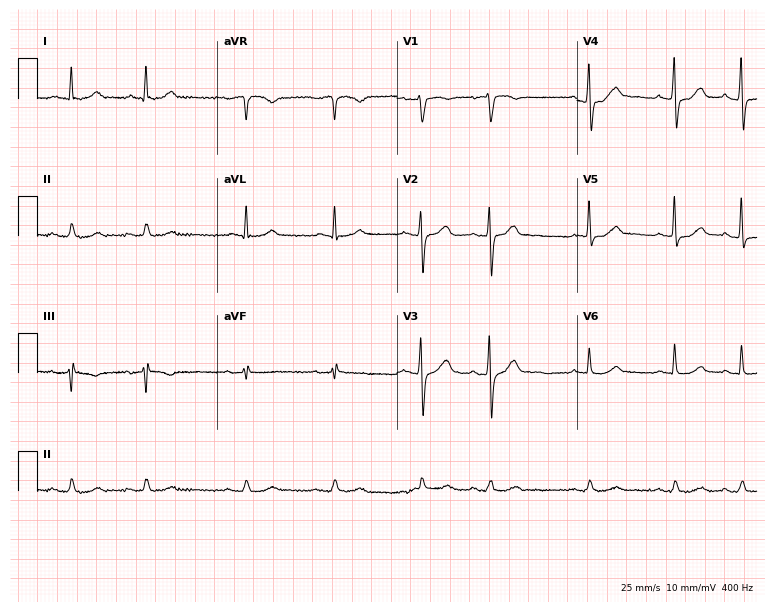
Standard 12-lead ECG recorded from a 78-year-old male patient (7.3-second recording at 400 Hz). None of these six findings is recorded: first-degree AV block, right bundle branch block, left bundle branch block, sinus bradycardia, atrial fibrillation, sinus tachycardia.